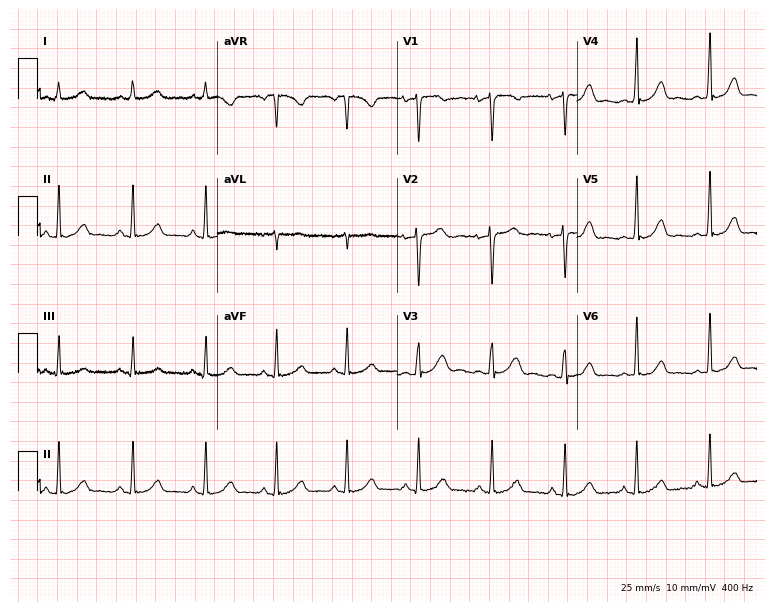
Resting 12-lead electrocardiogram. Patient: a woman, 34 years old. Read as a normal ECG.